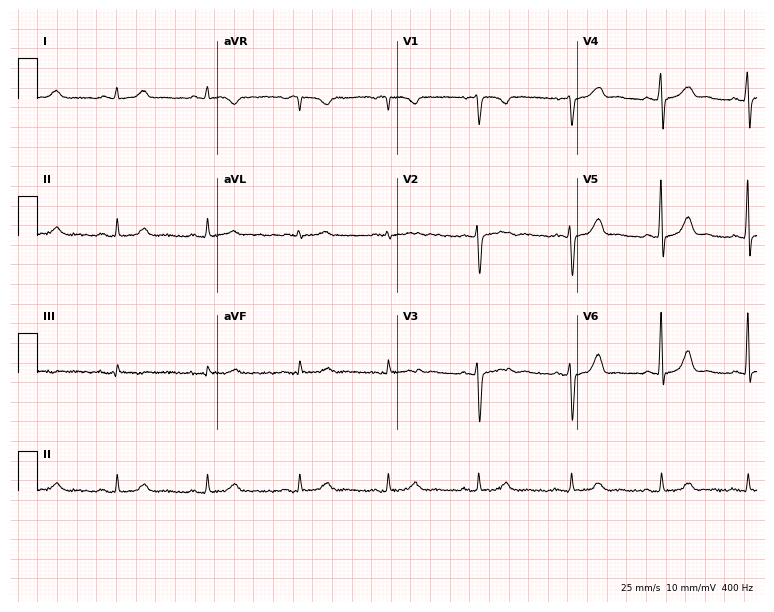
12-lead ECG (7.3-second recording at 400 Hz) from a 28-year-old female patient. Screened for six findings — first-degree AV block, right bundle branch block (RBBB), left bundle branch block (LBBB), sinus bradycardia, atrial fibrillation (AF), sinus tachycardia — none is recorded. Other findings, if any, are not listed.